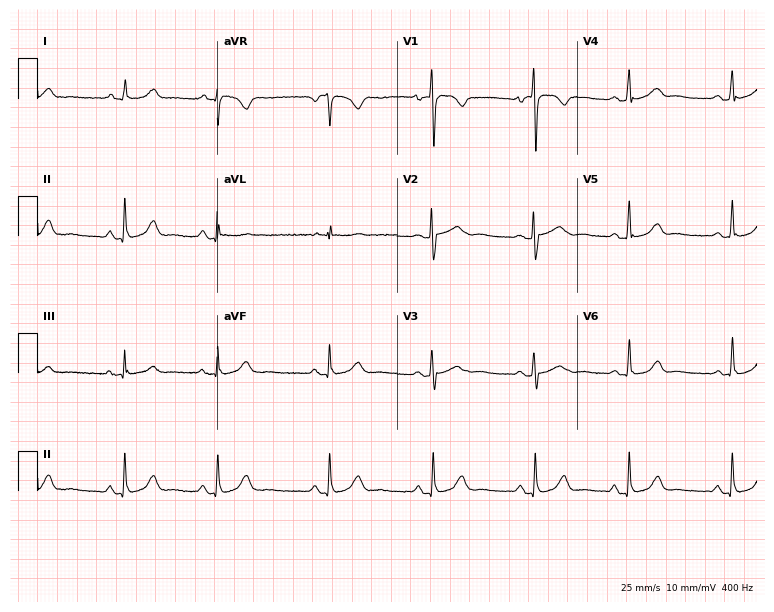
Electrocardiogram (7.3-second recording at 400 Hz), a 56-year-old female patient. Overall reading on record: normal ECG.